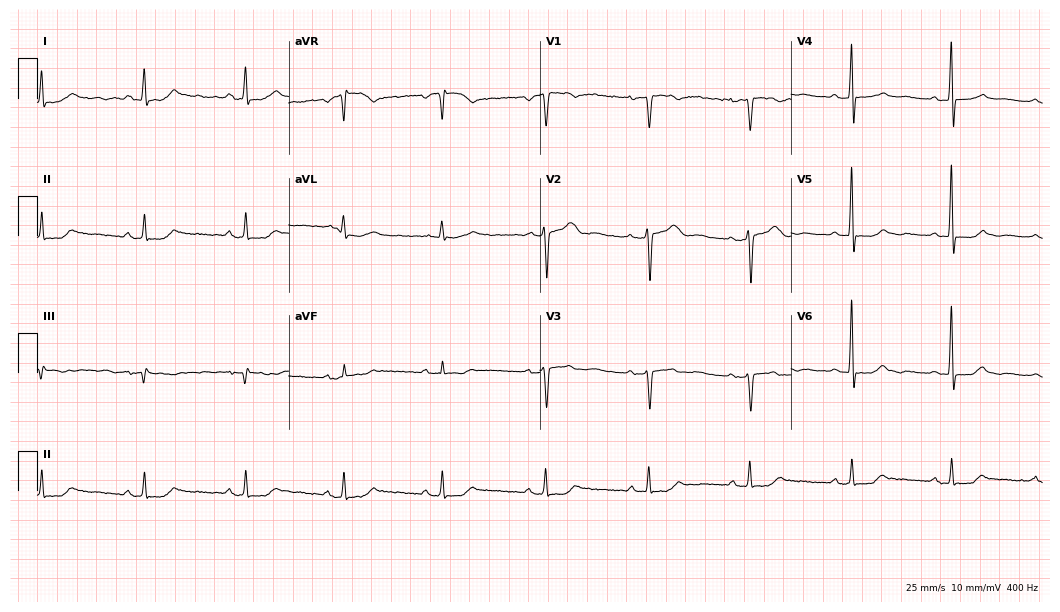
Resting 12-lead electrocardiogram. Patient: a female, 46 years old. Read as a normal ECG.